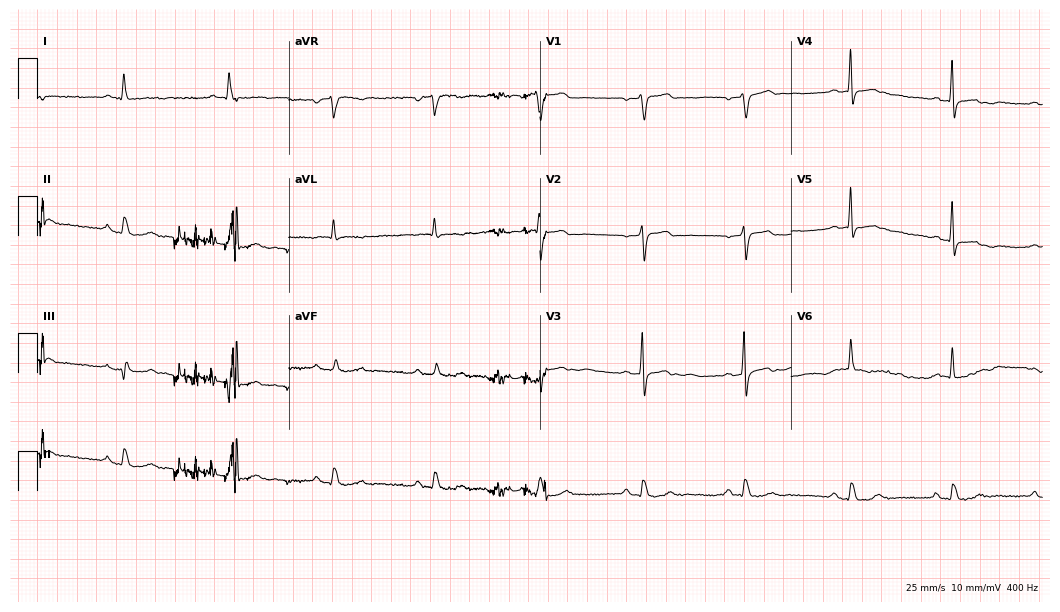
12-lead ECG (10.2-second recording at 400 Hz) from a female patient, 57 years old. Screened for six findings — first-degree AV block, right bundle branch block, left bundle branch block, sinus bradycardia, atrial fibrillation, sinus tachycardia — none is recorded.